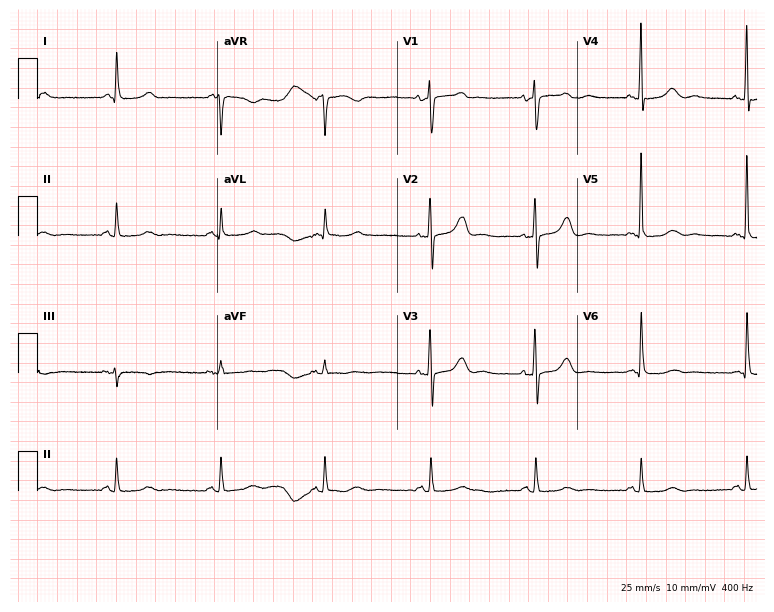
12-lead ECG from a woman, 77 years old (7.3-second recording at 400 Hz). No first-degree AV block, right bundle branch block (RBBB), left bundle branch block (LBBB), sinus bradycardia, atrial fibrillation (AF) or sinus tachycardia recorded for this tracing.